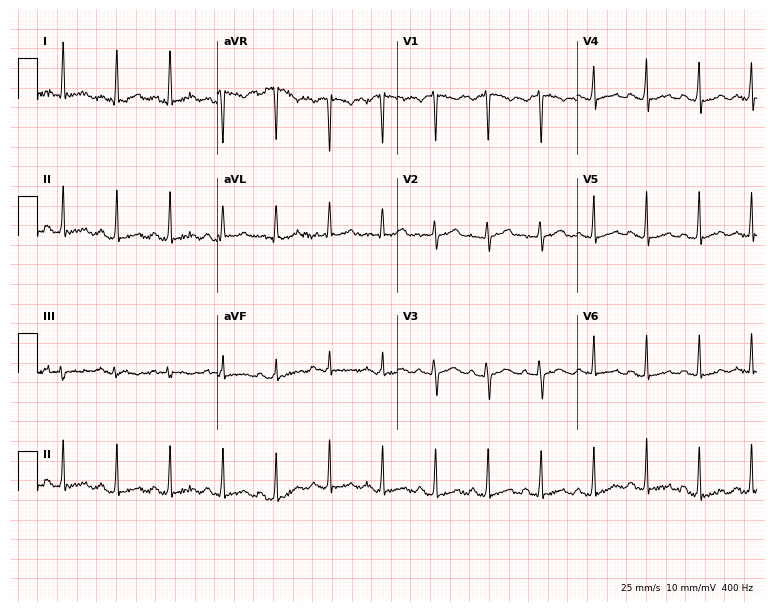
Electrocardiogram, a 43-year-old woman. Interpretation includes sinus tachycardia (a sinus rate of 100 beats per minute or more).